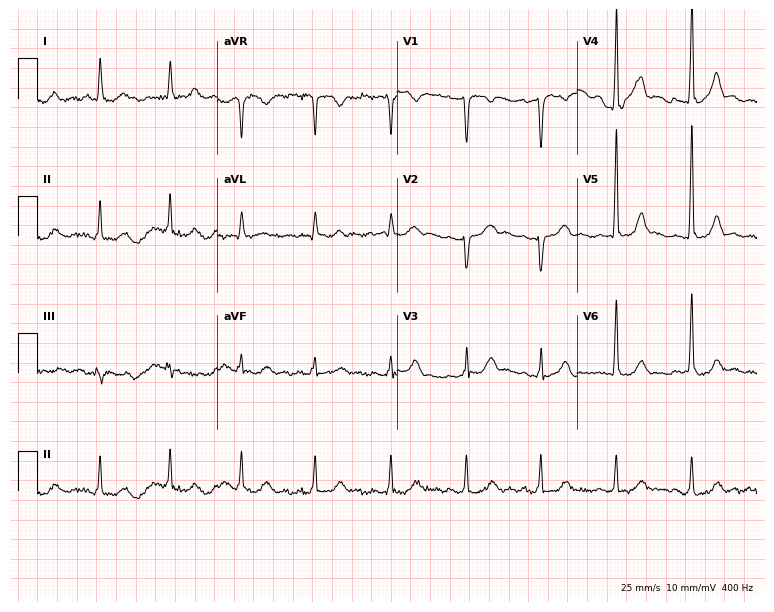
12-lead ECG from a 54-year-old woman. Labelled as a normal ECG.